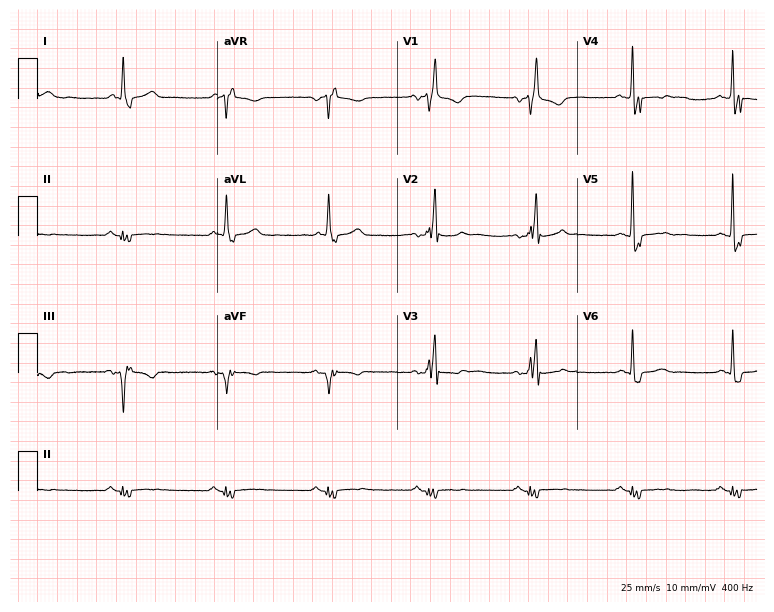
Resting 12-lead electrocardiogram. Patient: a male, 64 years old. The tracing shows right bundle branch block.